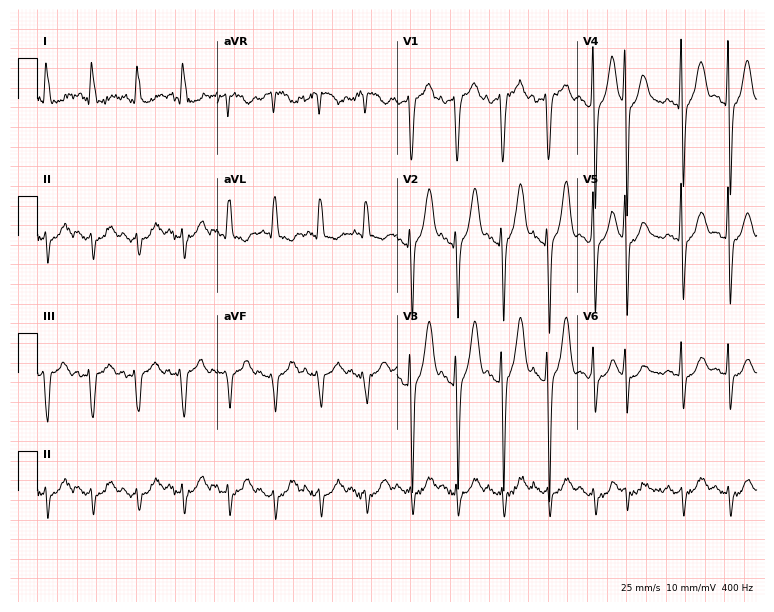
Resting 12-lead electrocardiogram (7.3-second recording at 400 Hz). Patient: an 81-year-old male. The tracing shows sinus tachycardia (a sinus rate of 100 beats per minute or more).